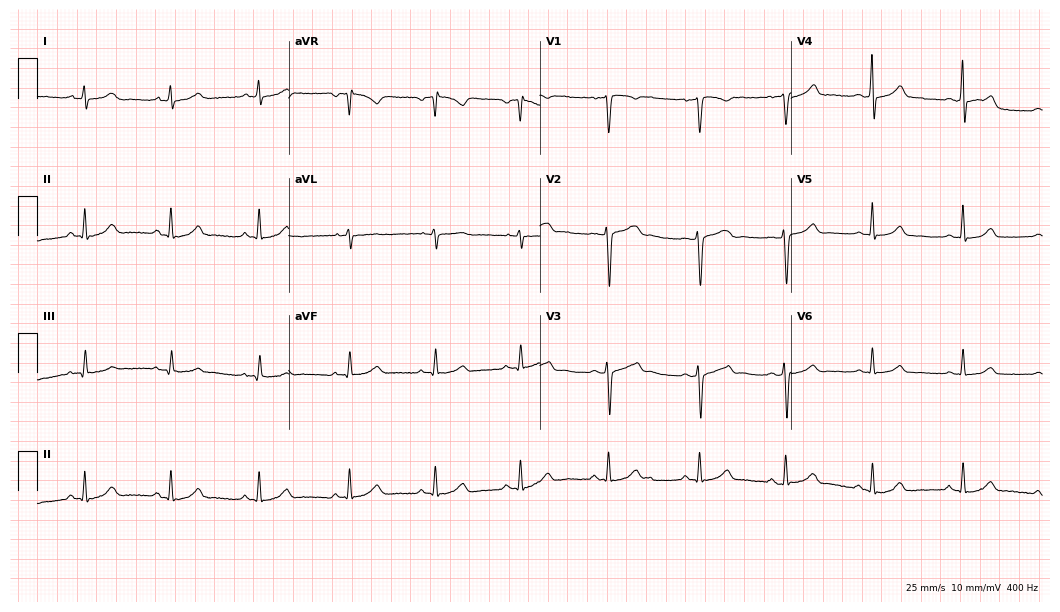
12-lead ECG from a 29-year-old woman. Labelled as a normal ECG.